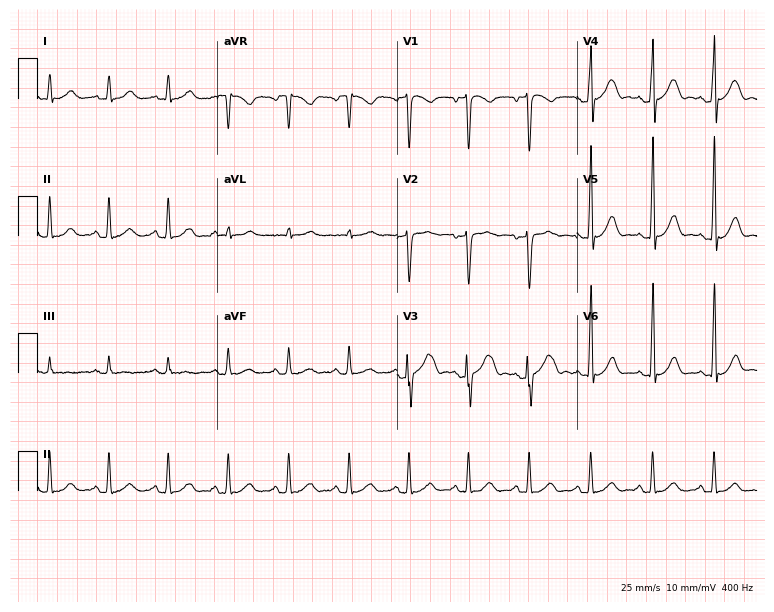
Standard 12-lead ECG recorded from a 34-year-old male. None of these six findings is recorded: first-degree AV block, right bundle branch block (RBBB), left bundle branch block (LBBB), sinus bradycardia, atrial fibrillation (AF), sinus tachycardia.